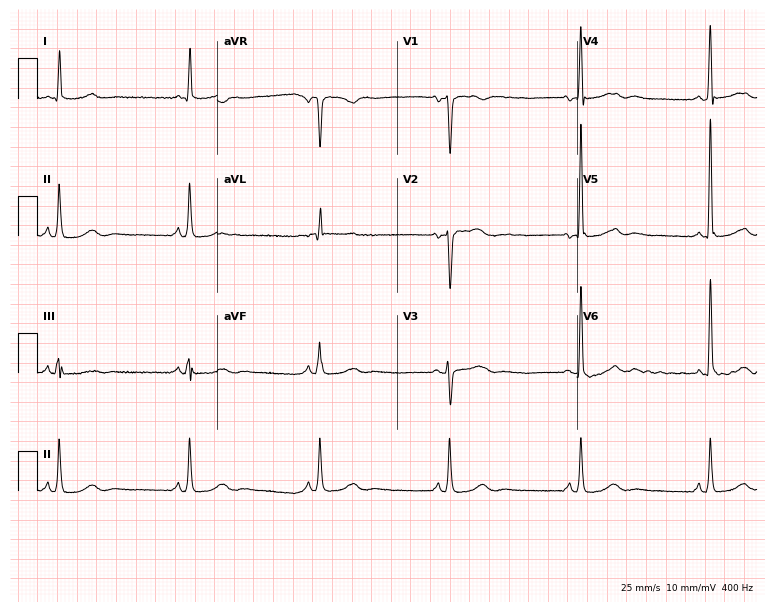
ECG — a female patient, 79 years old. Findings include sinus bradycardia (a sinus rate of 50 beats per minute or less).